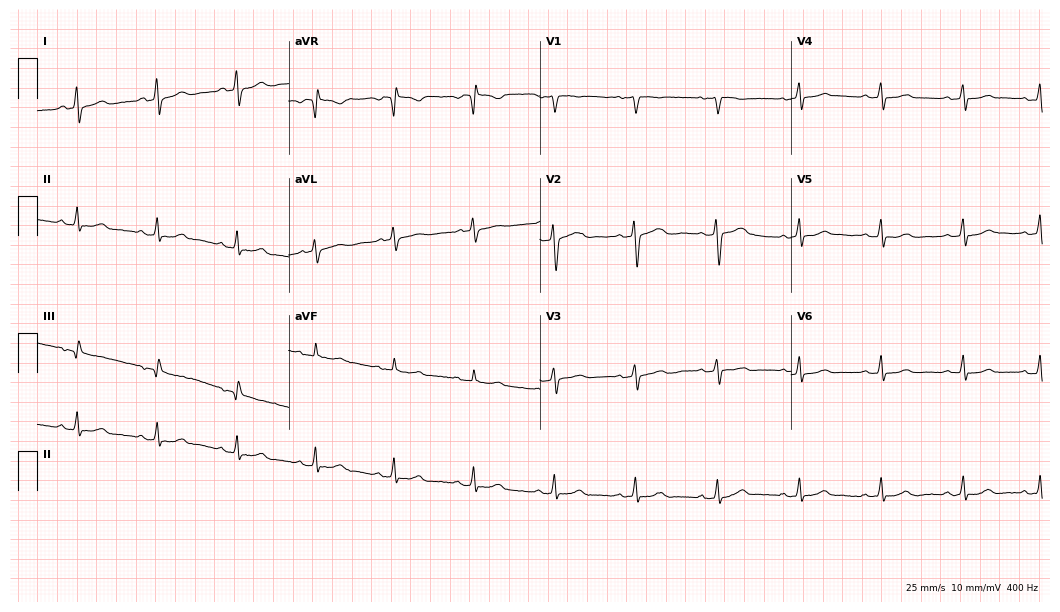
12-lead ECG from a female patient, 36 years old (10.2-second recording at 400 Hz). Recorded interpretation: within normal limits.